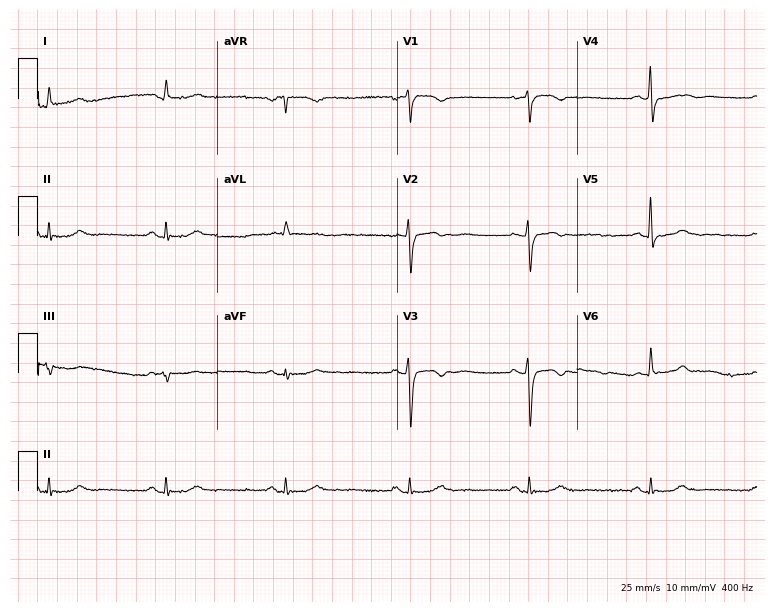
Standard 12-lead ECG recorded from a 64-year-old woman. The tracing shows sinus bradycardia (a sinus rate of 50 beats per minute or less).